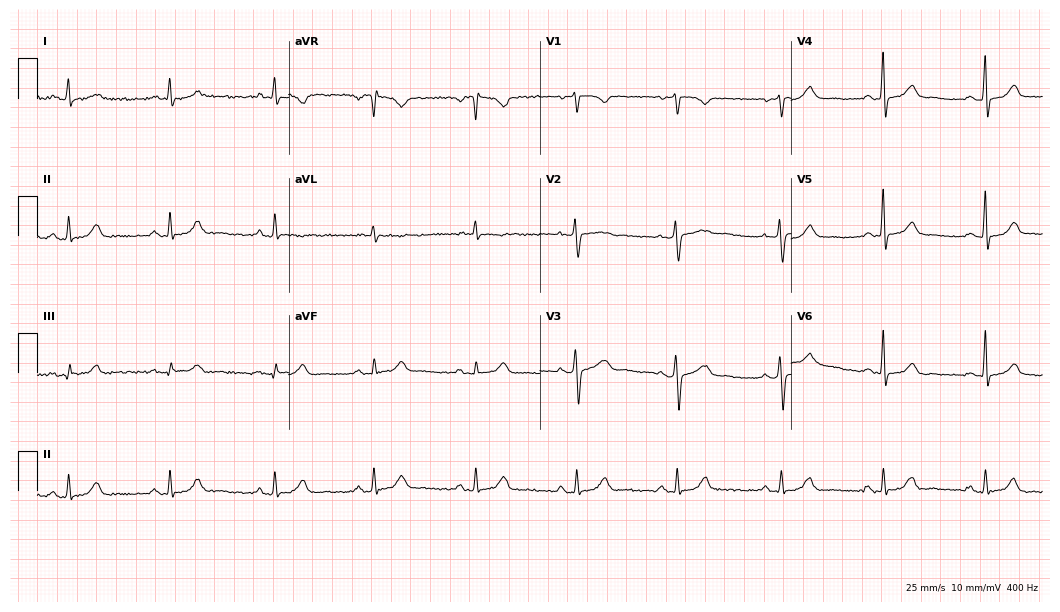
12-lead ECG from a female patient, 46 years old. Recorded interpretation: within normal limits.